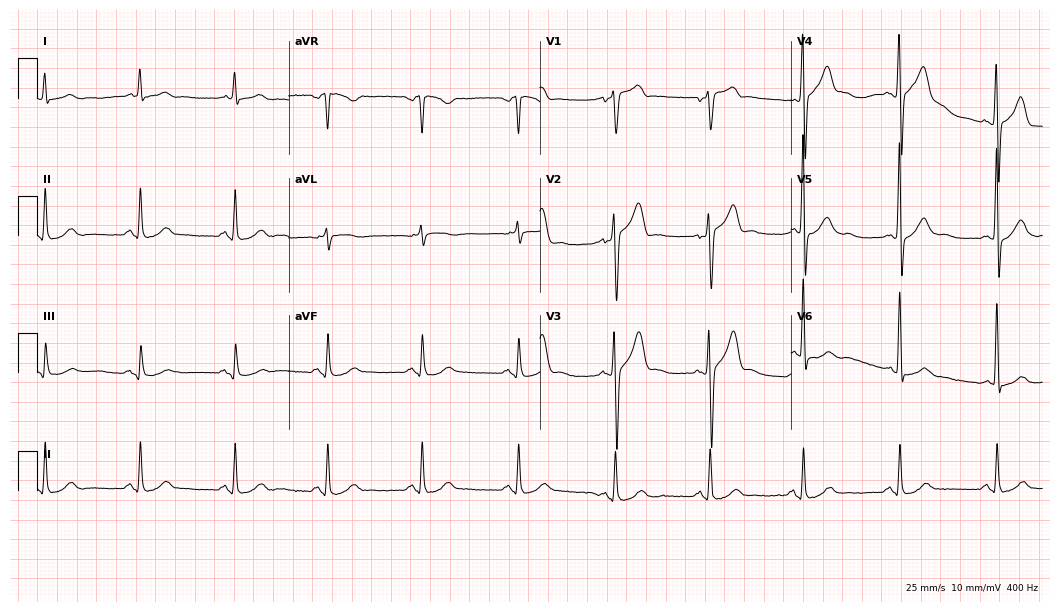
Standard 12-lead ECG recorded from a man, 53 years old. Read as a normal ECG.